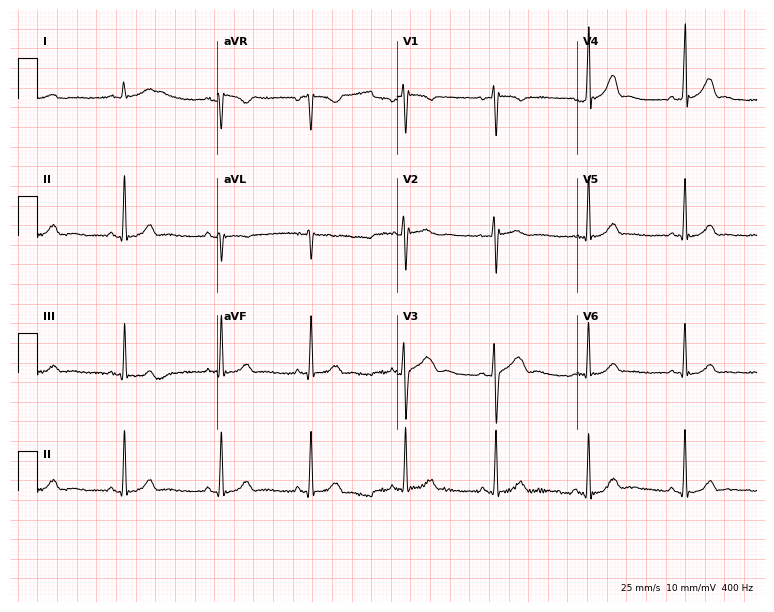
ECG (7.3-second recording at 400 Hz) — a female patient, 18 years old. Screened for six findings — first-degree AV block, right bundle branch block (RBBB), left bundle branch block (LBBB), sinus bradycardia, atrial fibrillation (AF), sinus tachycardia — none is recorded. Only these six findings were labelled.